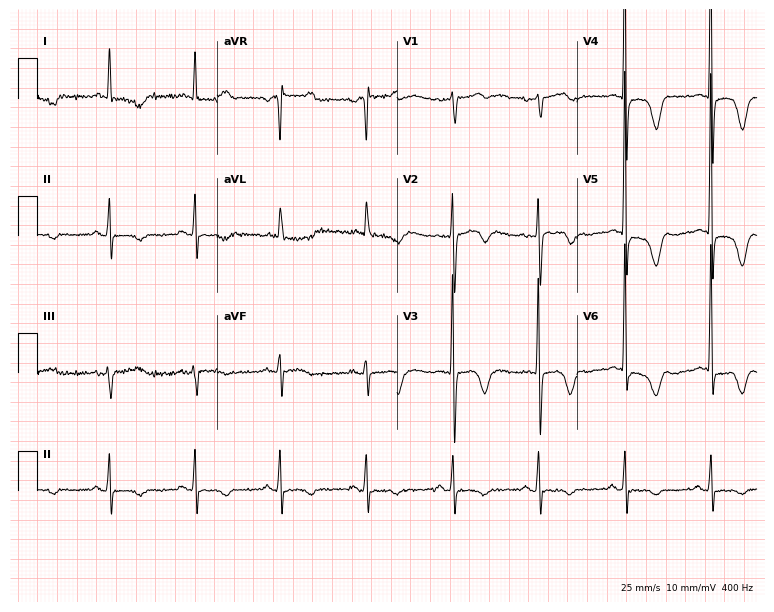
12-lead ECG from an 83-year-old woman. No first-degree AV block, right bundle branch block, left bundle branch block, sinus bradycardia, atrial fibrillation or sinus tachycardia recorded for this tracing. Other findings, if any, are not listed.